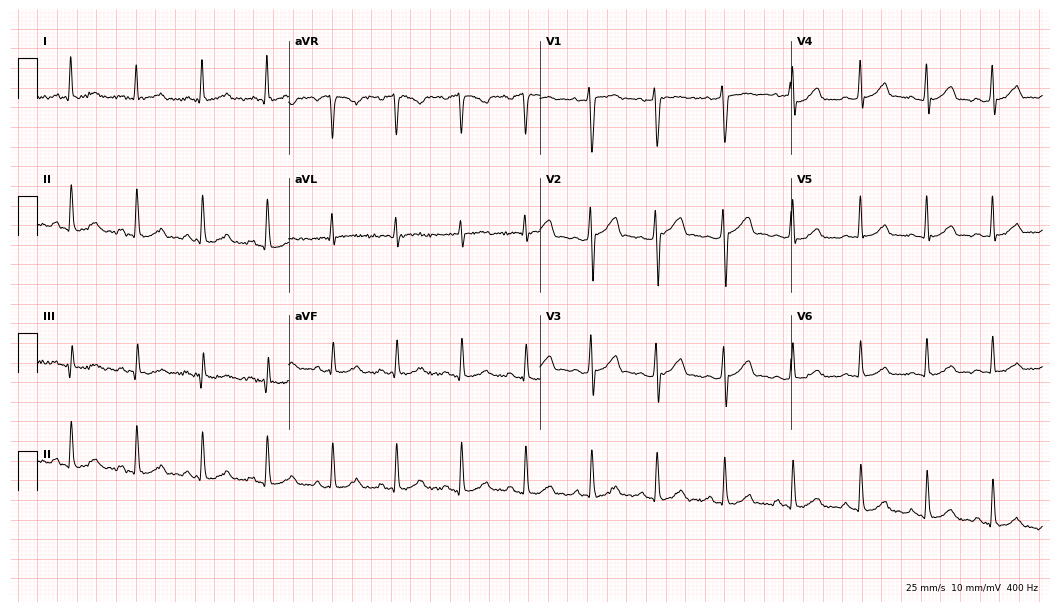
Resting 12-lead electrocardiogram. Patient: a male, 45 years old. None of these six findings is recorded: first-degree AV block, right bundle branch block, left bundle branch block, sinus bradycardia, atrial fibrillation, sinus tachycardia.